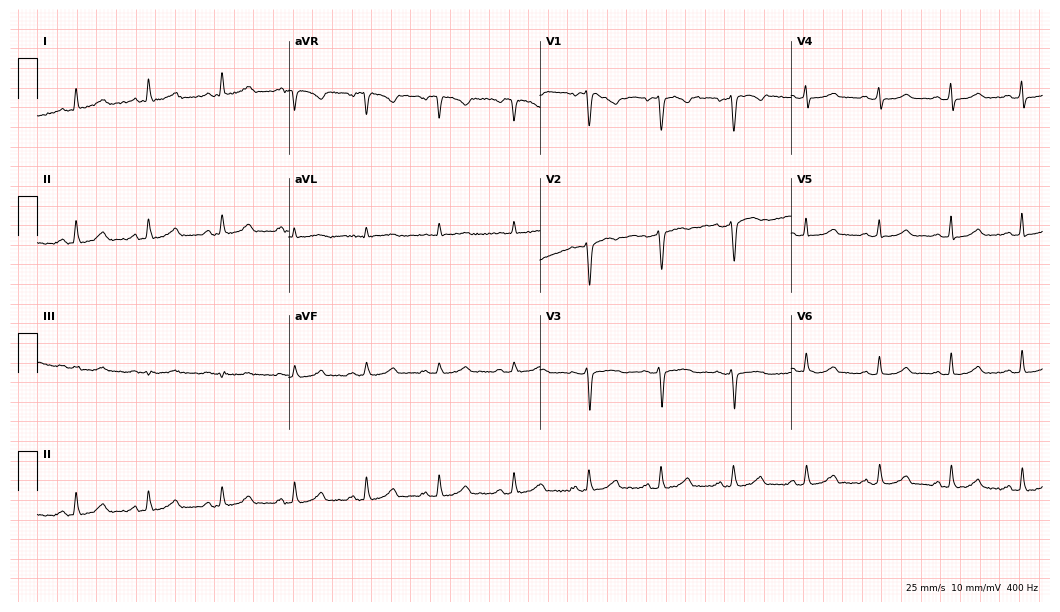
Standard 12-lead ECG recorded from a 40-year-old female patient (10.2-second recording at 400 Hz). Read as a normal ECG.